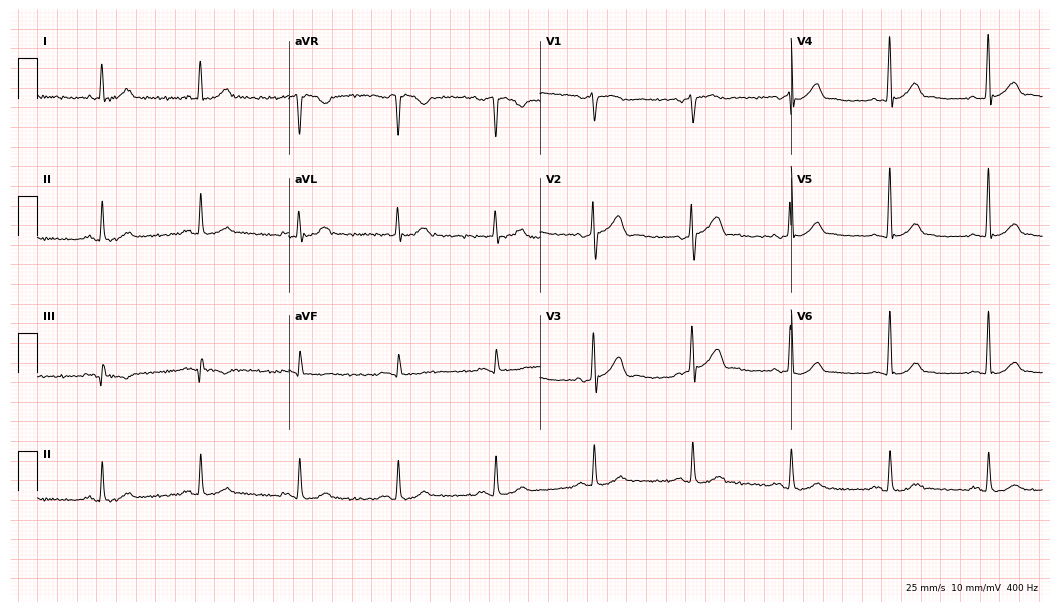
Resting 12-lead electrocardiogram. Patient: a 43-year-old male. Read as a normal ECG.